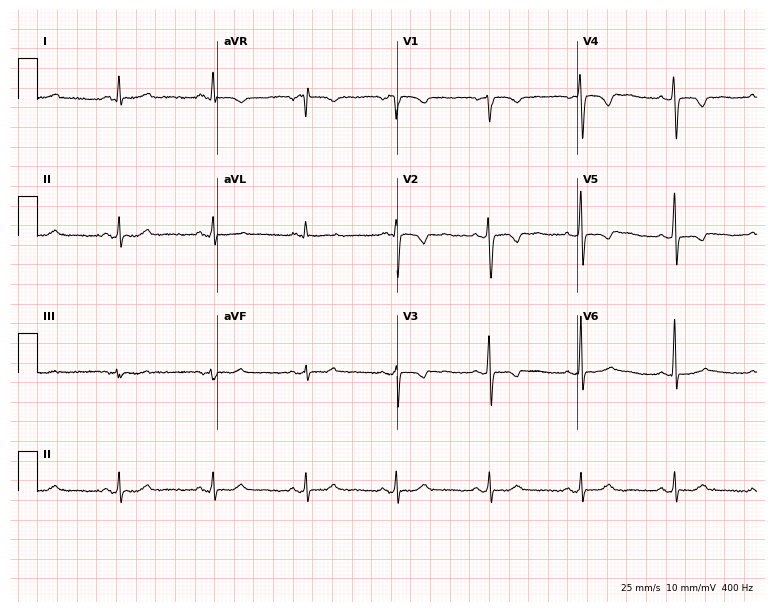
12-lead ECG from a woman, 43 years old. Screened for six findings — first-degree AV block, right bundle branch block (RBBB), left bundle branch block (LBBB), sinus bradycardia, atrial fibrillation (AF), sinus tachycardia — none is recorded.